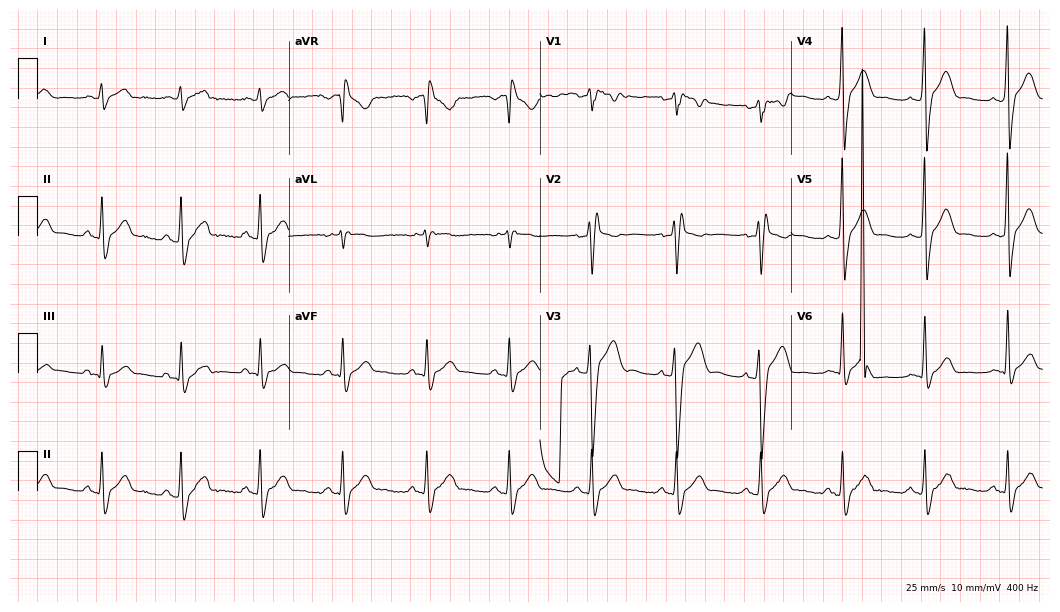
12-lead ECG from a 25-year-old man. Findings include right bundle branch block.